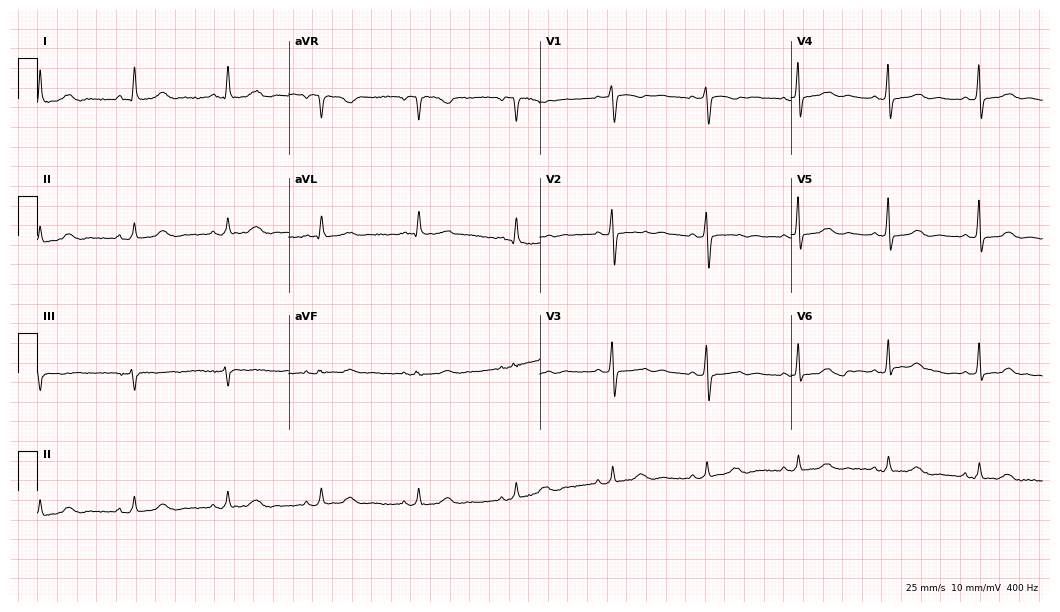
12-lead ECG from a 57-year-old woman. Labelled as a normal ECG.